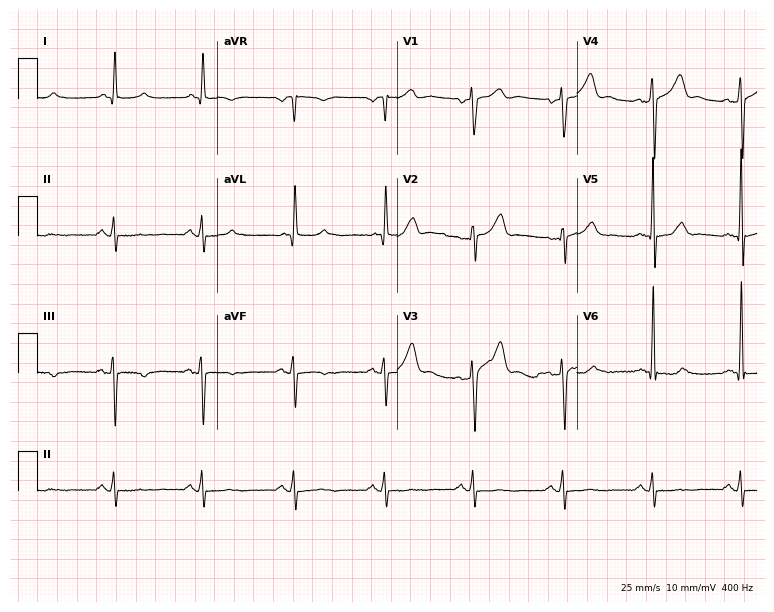
Electrocardiogram (7.3-second recording at 400 Hz), a man, 65 years old. Of the six screened findings (first-degree AV block, right bundle branch block, left bundle branch block, sinus bradycardia, atrial fibrillation, sinus tachycardia), none is recorded.